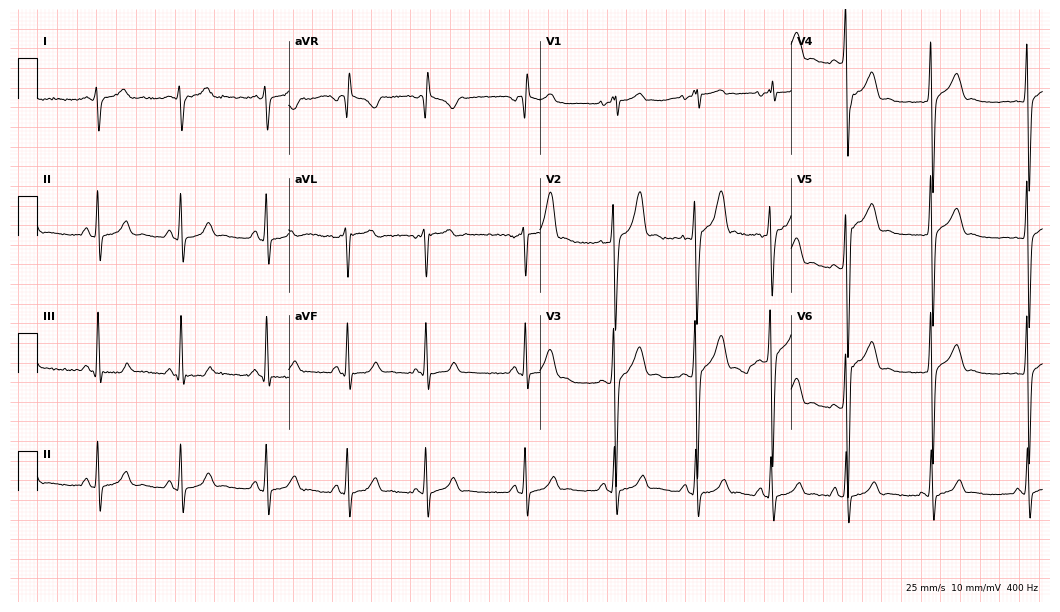
Electrocardiogram (10.2-second recording at 400 Hz), a man, 18 years old. Of the six screened findings (first-degree AV block, right bundle branch block, left bundle branch block, sinus bradycardia, atrial fibrillation, sinus tachycardia), none is recorded. Other findings, if any, are not listed.